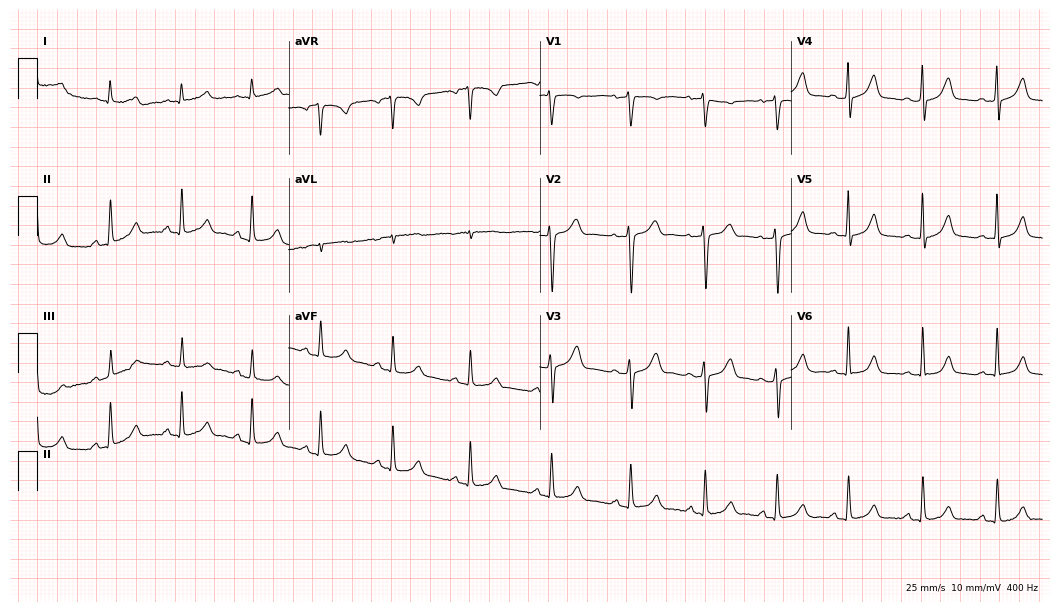
12-lead ECG from a 33-year-old female (10.2-second recording at 400 Hz). Recorded interpretation: within normal limits.